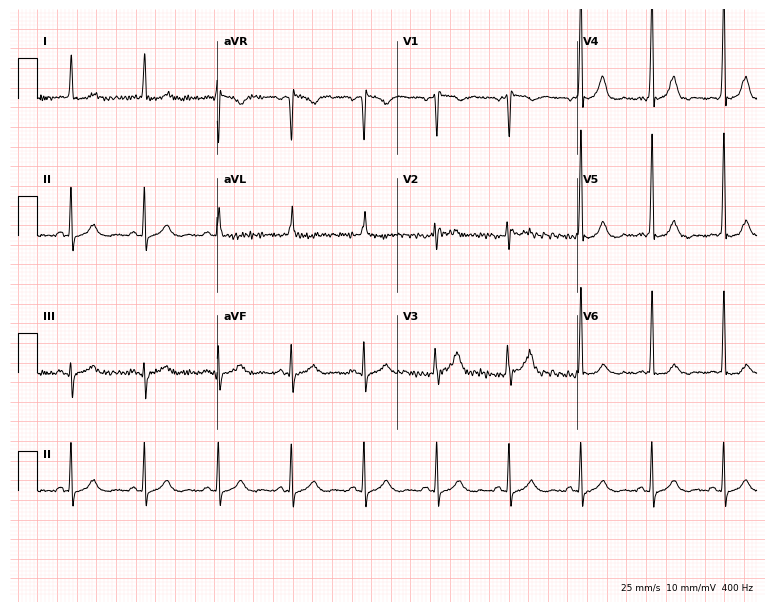
Standard 12-lead ECG recorded from a man, 56 years old (7.3-second recording at 400 Hz). Read as a normal ECG.